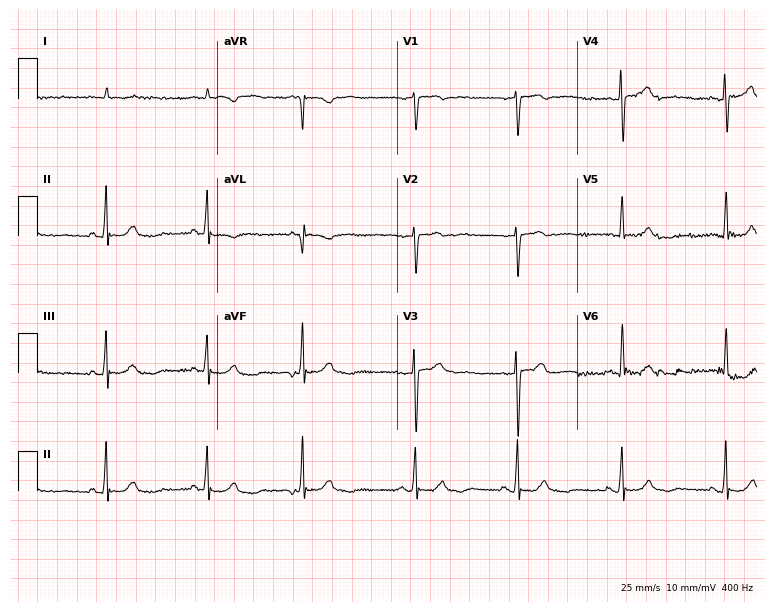
12-lead ECG from a man, 84 years old. Labelled as a normal ECG.